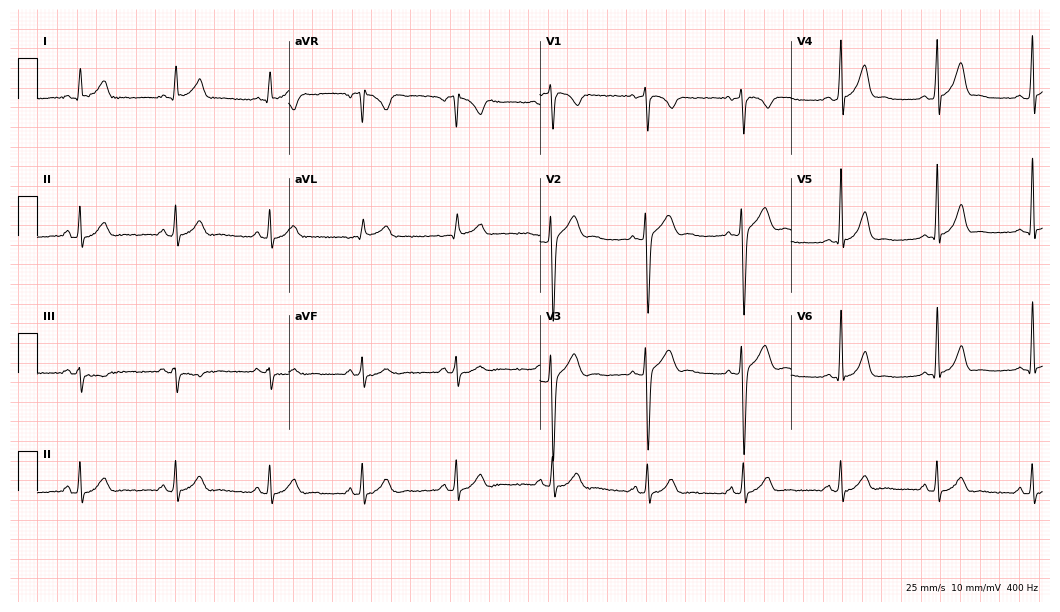
Resting 12-lead electrocardiogram. Patient: a man, 40 years old. None of these six findings is recorded: first-degree AV block, right bundle branch block (RBBB), left bundle branch block (LBBB), sinus bradycardia, atrial fibrillation (AF), sinus tachycardia.